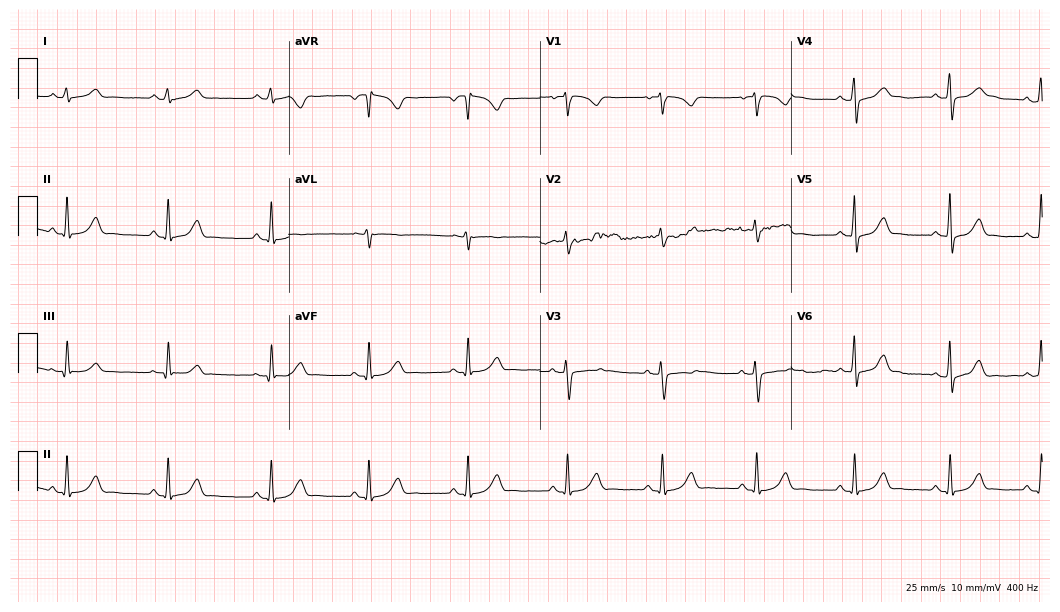
Resting 12-lead electrocardiogram. Patient: a 23-year-old female. Read as a normal ECG.